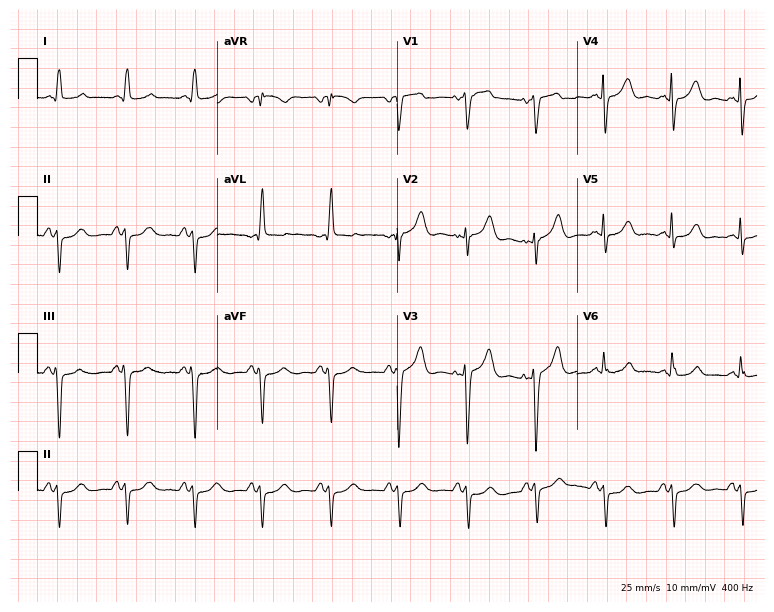
12-lead ECG (7.3-second recording at 400 Hz) from a 58-year-old female patient. Screened for six findings — first-degree AV block, right bundle branch block (RBBB), left bundle branch block (LBBB), sinus bradycardia, atrial fibrillation (AF), sinus tachycardia — none is recorded. Other findings, if any, are not listed.